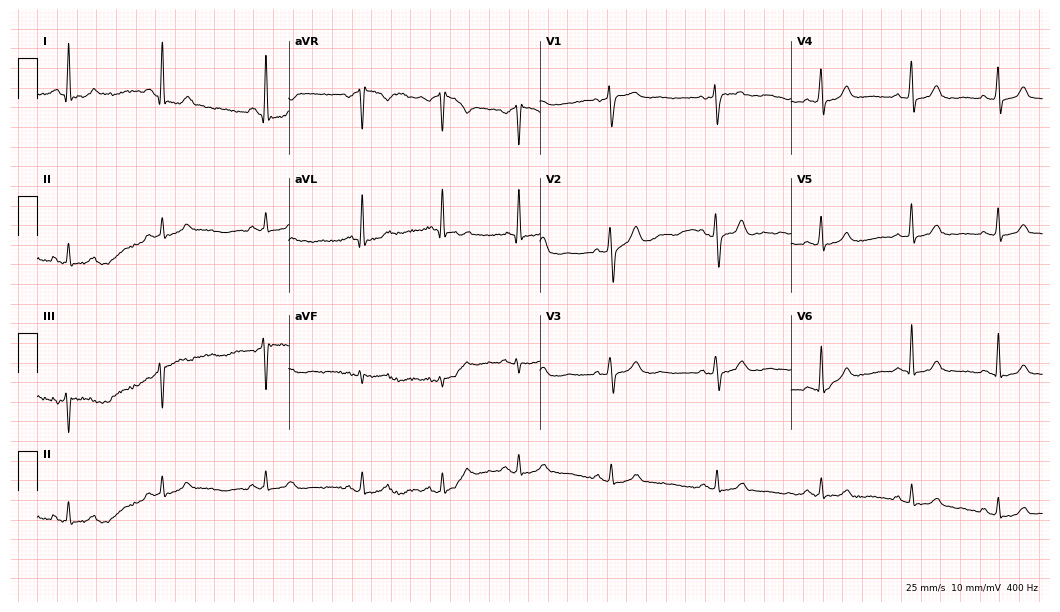
12-lead ECG (10.2-second recording at 400 Hz) from a woman, 63 years old. Labelled as a normal ECG.